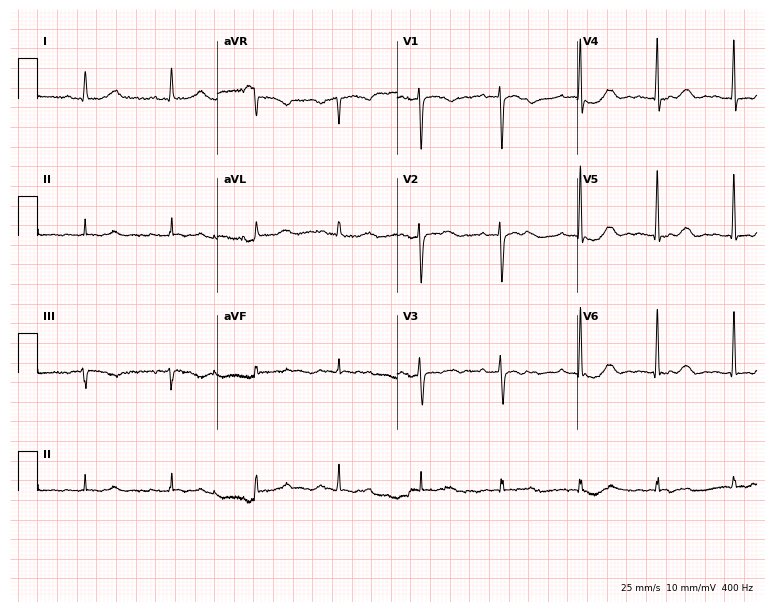
12-lead ECG (7.3-second recording at 400 Hz) from a 58-year-old female patient. Screened for six findings — first-degree AV block, right bundle branch block (RBBB), left bundle branch block (LBBB), sinus bradycardia, atrial fibrillation (AF), sinus tachycardia — none is recorded. Only these six findings were labelled.